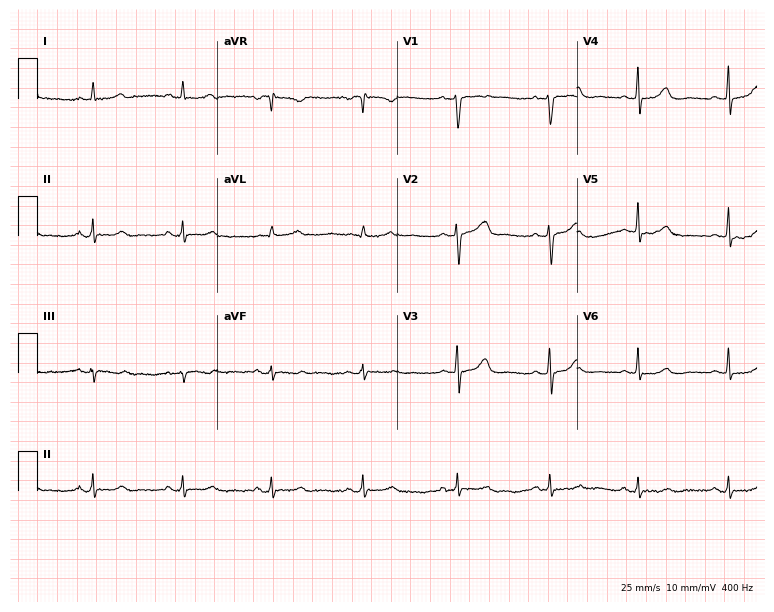
Standard 12-lead ECG recorded from a 42-year-old female patient (7.3-second recording at 400 Hz). None of these six findings is recorded: first-degree AV block, right bundle branch block, left bundle branch block, sinus bradycardia, atrial fibrillation, sinus tachycardia.